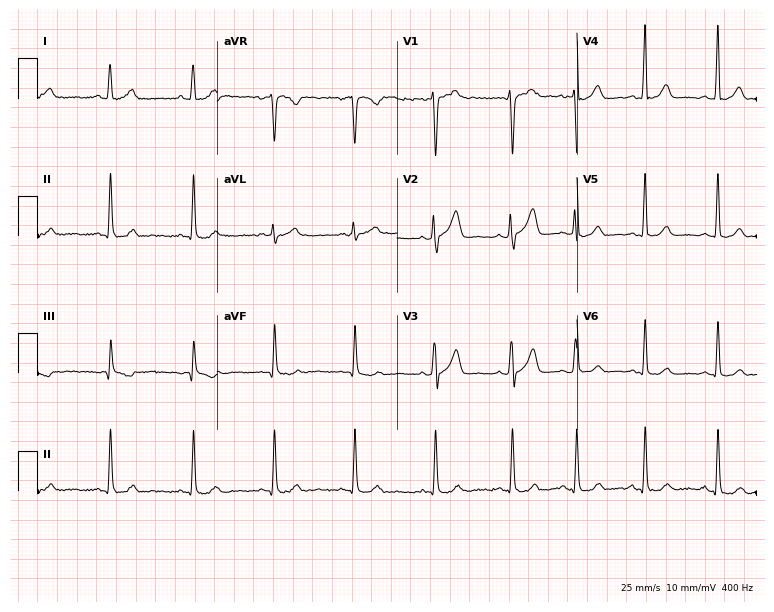
Electrocardiogram (7.3-second recording at 400 Hz), a man, 39 years old. Of the six screened findings (first-degree AV block, right bundle branch block, left bundle branch block, sinus bradycardia, atrial fibrillation, sinus tachycardia), none is recorded. Findings outside these six are not listed.